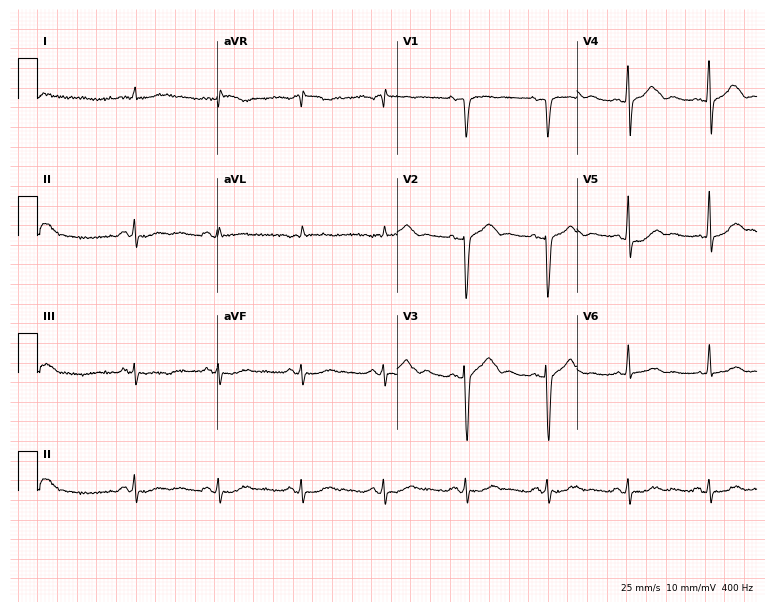
Electrocardiogram (7.3-second recording at 400 Hz), a male, 85 years old. Of the six screened findings (first-degree AV block, right bundle branch block, left bundle branch block, sinus bradycardia, atrial fibrillation, sinus tachycardia), none is recorded.